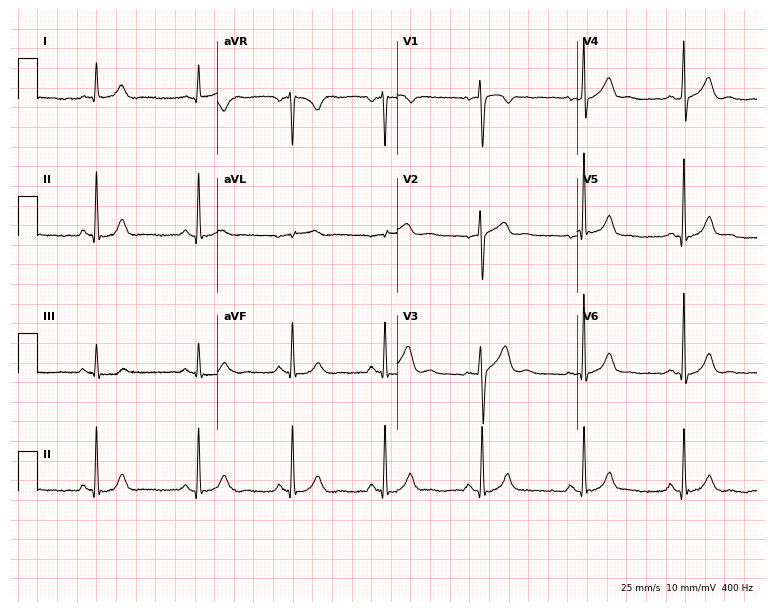
ECG (7.3-second recording at 400 Hz) — a male, 48 years old. Screened for six findings — first-degree AV block, right bundle branch block (RBBB), left bundle branch block (LBBB), sinus bradycardia, atrial fibrillation (AF), sinus tachycardia — none is recorded. Only these six findings were labelled.